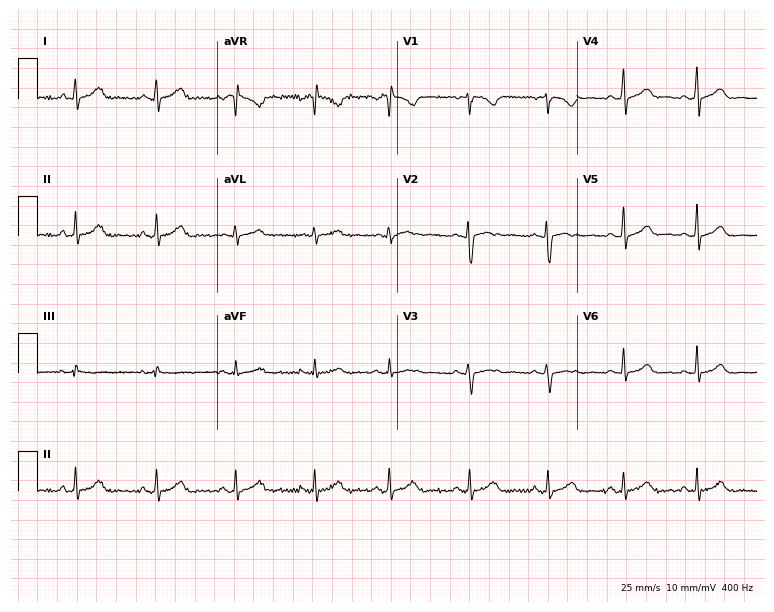
Electrocardiogram (7.3-second recording at 400 Hz), a female patient, 20 years old. Overall reading on record: normal ECG.